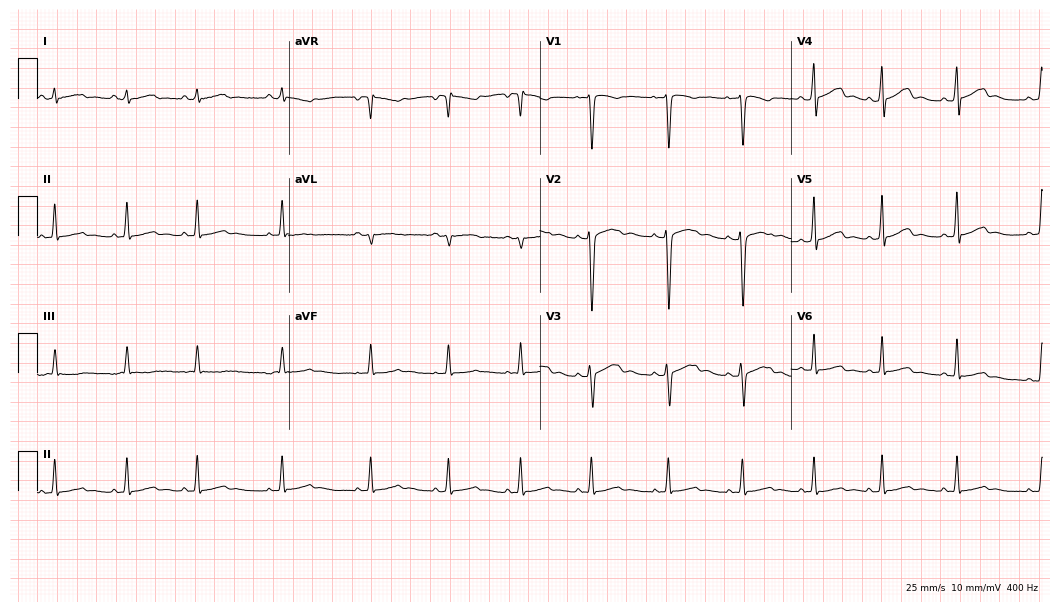
ECG — an 18-year-old woman. Labelled as a normal ECG.